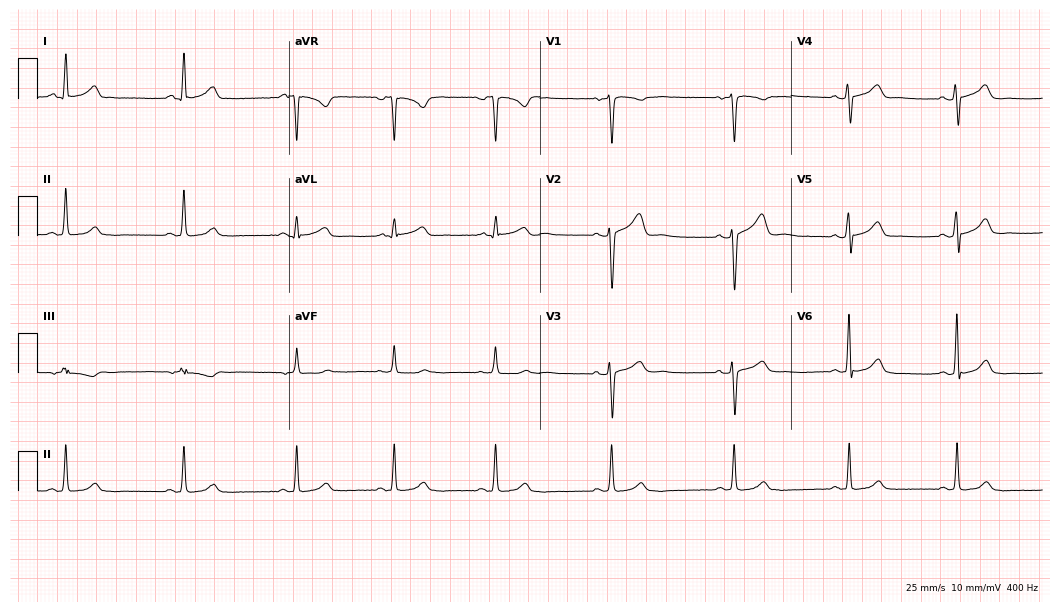
12-lead ECG (10.2-second recording at 400 Hz) from a woman, 35 years old. Labelled as a normal ECG.